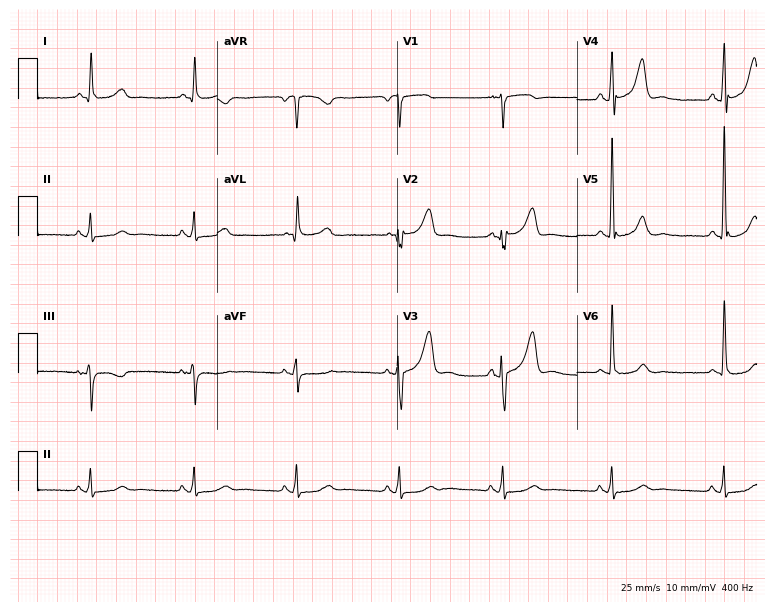
12-lead ECG from a male patient, 66 years old (7.3-second recording at 400 Hz). Recorded interpretation: within normal limits.